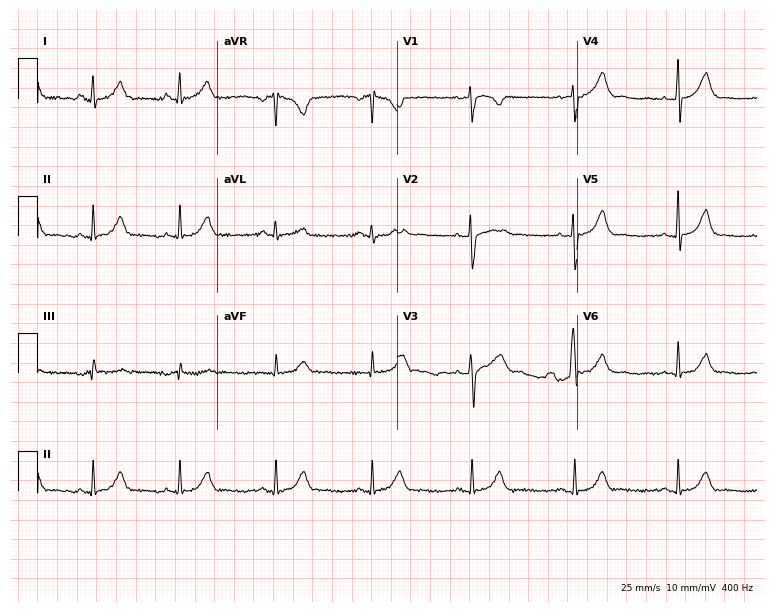
12-lead ECG from a 22-year-old female patient (7.3-second recording at 400 Hz). Recorded interpretation: within normal limits.